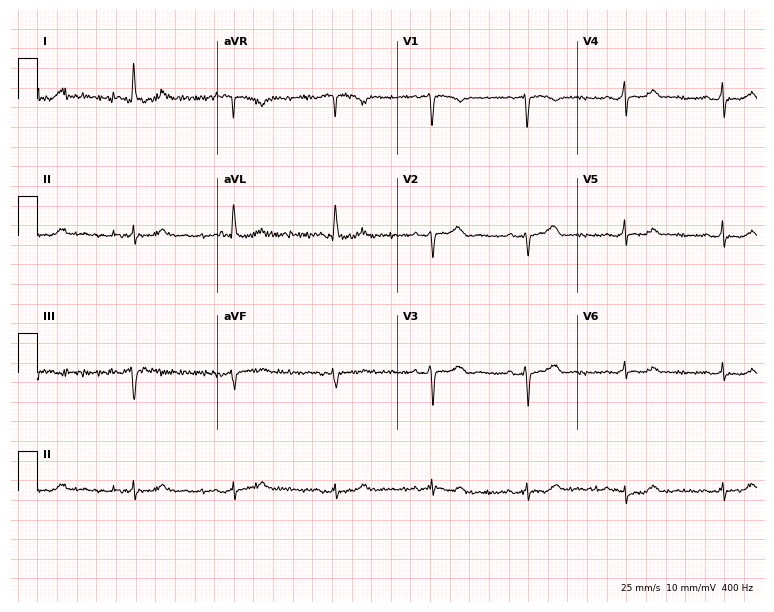
Resting 12-lead electrocardiogram. Patient: a female, 65 years old. Read as a normal ECG.